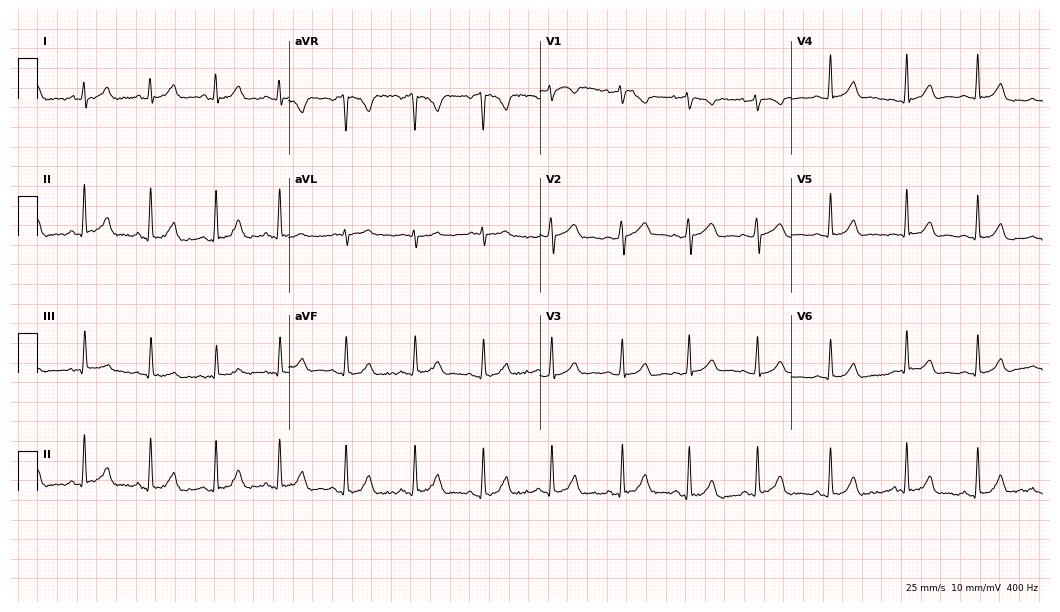
Resting 12-lead electrocardiogram (10.2-second recording at 400 Hz). Patient: a 22-year-old female. Read as a normal ECG.